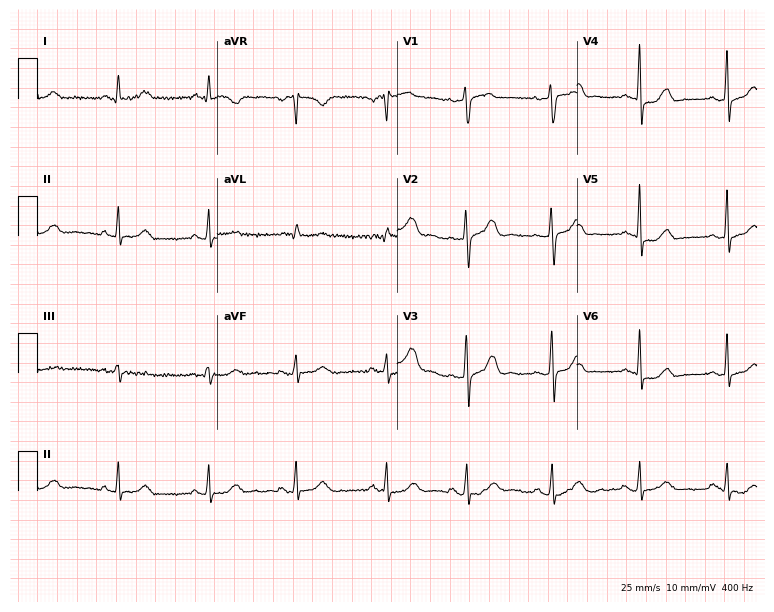
ECG (7.3-second recording at 400 Hz) — a 45-year-old woman. Screened for six findings — first-degree AV block, right bundle branch block, left bundle branch block, sinus bradycardia, atrial fibrillation, sinus tachycardia — none is recorded. Only these six findings were labelled.